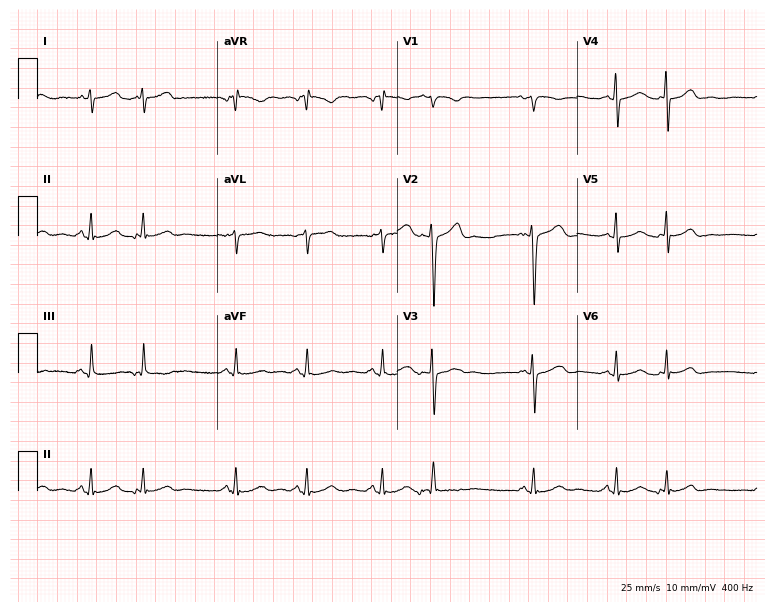
12-lead ECG from a woman, 27 years old (7.3-second recording at 400 Hz). No first-degree AV block, right bundle branch block (RBBB), left bundle branch block (LBBB), sinus bradycardia, atrial fibrillation (AF) or sinus tachycardia recorded for this tracing.